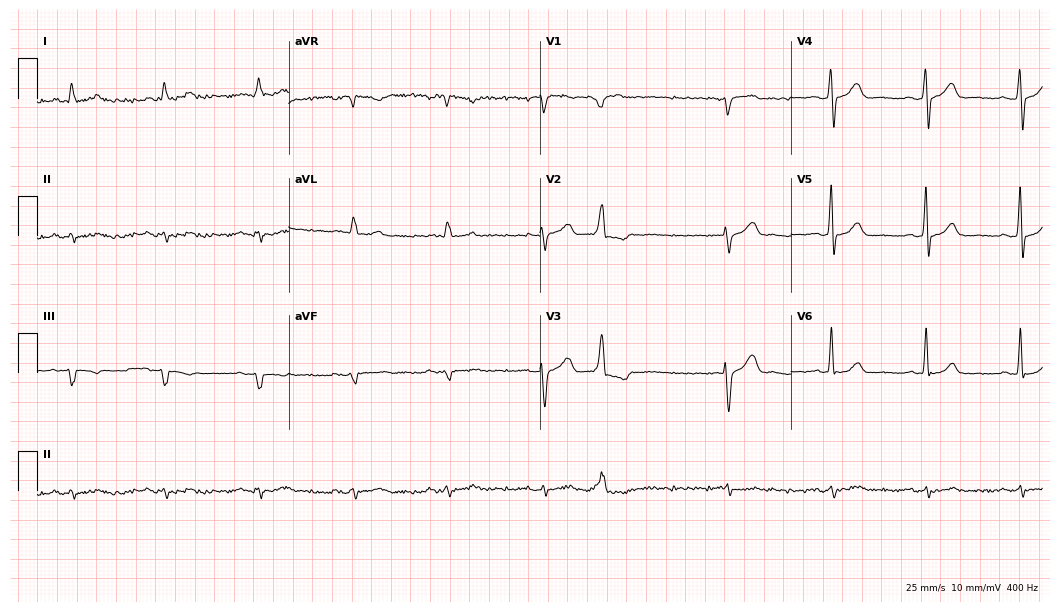
Resting 12-lead electrocardiogram. Patient: a man, 64 years old. None of these six findings is recorded: first-degree AV block, right bundle branch block (RBBB), left bundle branch block (LBBB), sinus bradycardia, atrial fibrillation (AF), sinus tachycardia.